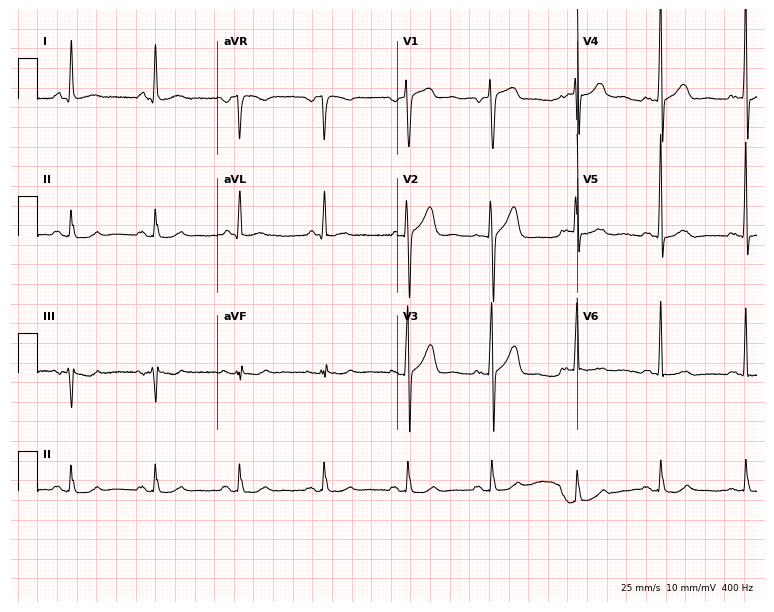
12-lead ECG from a male, 46 years old. Labelled as a normal ECG.